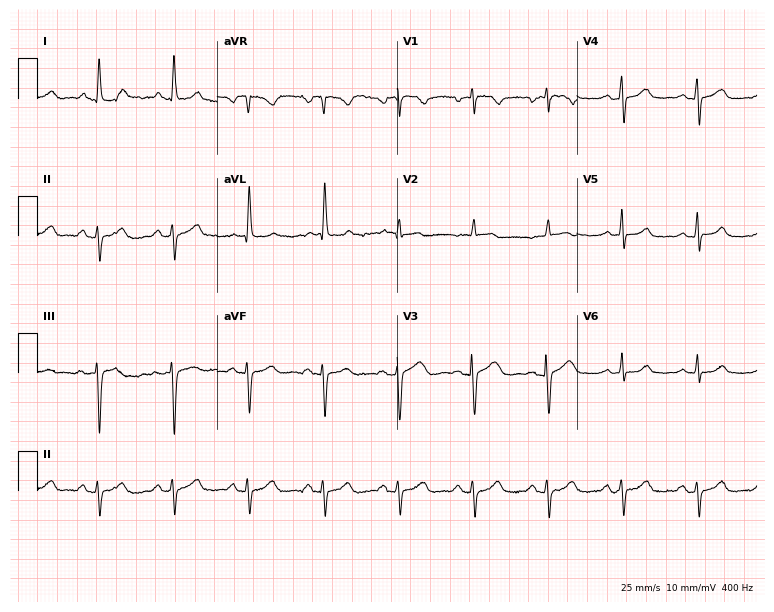
Standard 12-lead ECG recorded from a woman, 81 years old. None of these six findings is recorded: first-degree AV block, right bundle branch block, left bundle branch block, sinus bradycardia, atrial fibrillation, sinus tachycardia.